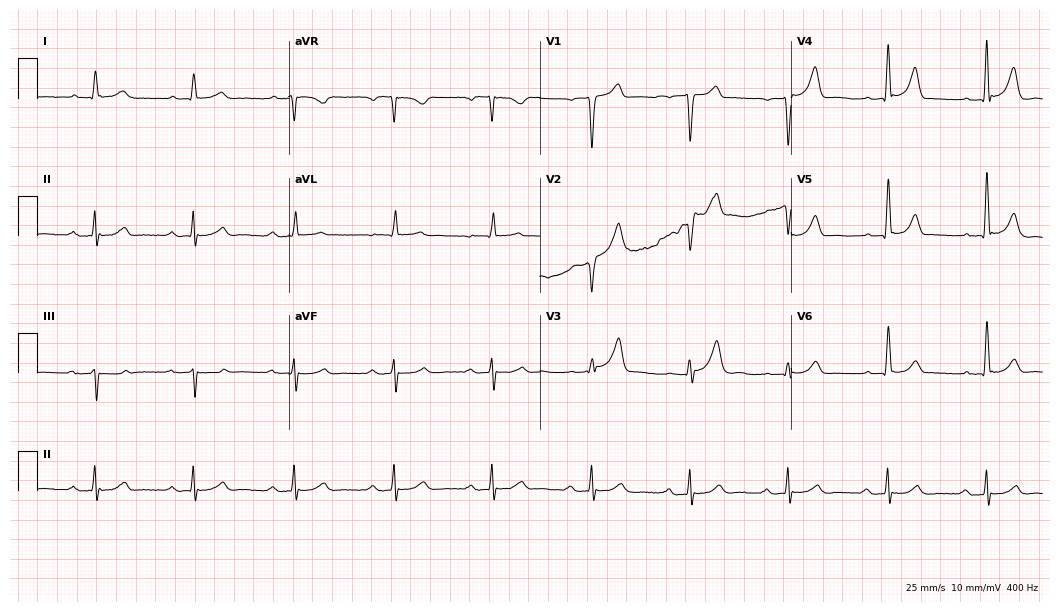
ECG (10.2-second recording at 400 Hz) — a male patient, 71 years old. Findings include first-degree AV block.